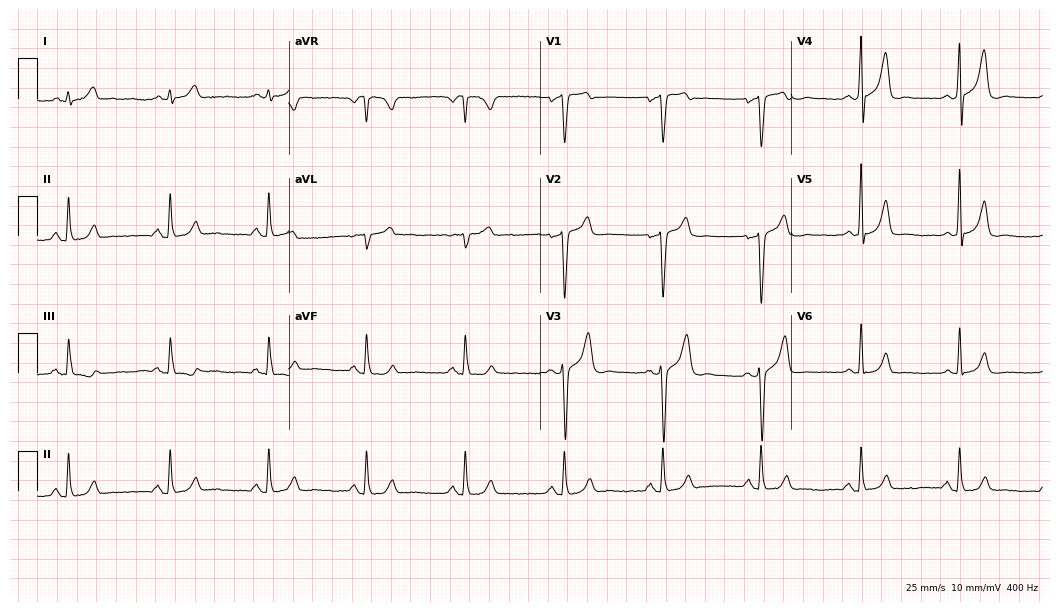
Resting 12-lead electrocardiogram (10.2-second recording at 400 Hz). Patient: a 52-year-old man. Read as a normal ECG.